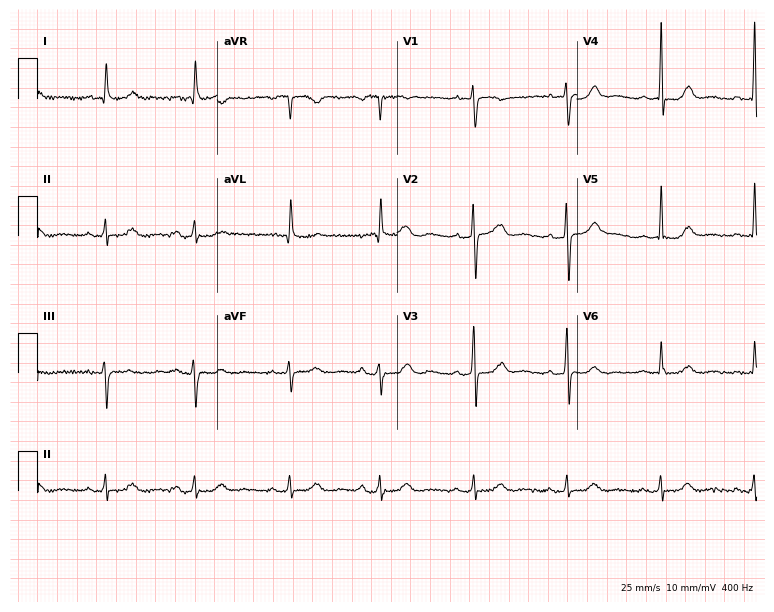
12-lead ECG from a female, 73 years old (7.3-second recording at 400 Hz). Recorded interpretation: within normal limits.